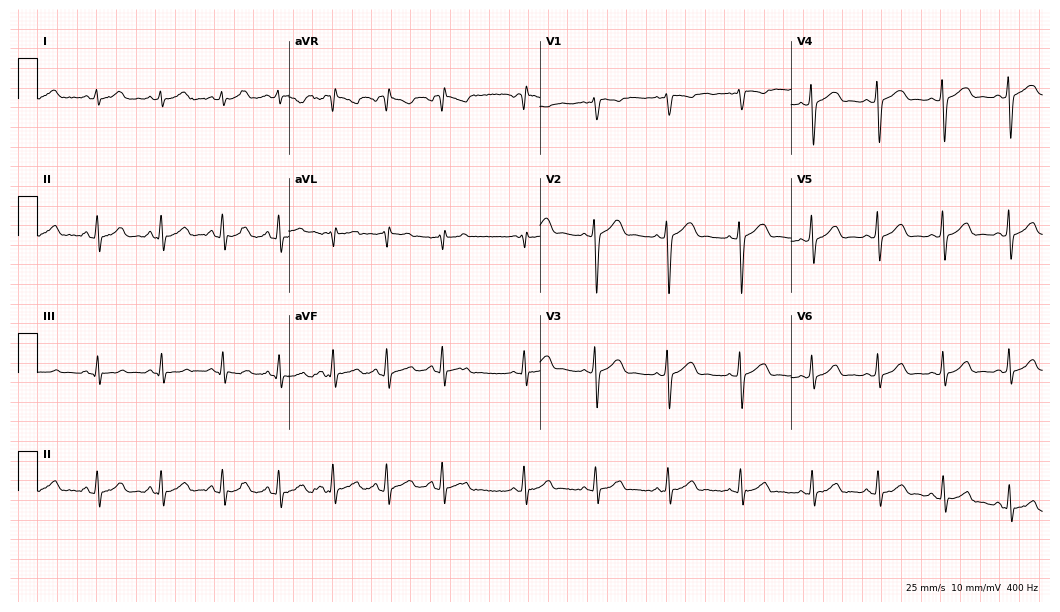
Electrocardiogram, a female patient, 19 years old. Of the six screened findings (first-degree AV block, right bundle branch block (RBBB), left bundle branch block (LBBB), sinus bradycardia, atrial fibrillation (AF), sinus tachycardia), none is recorded.